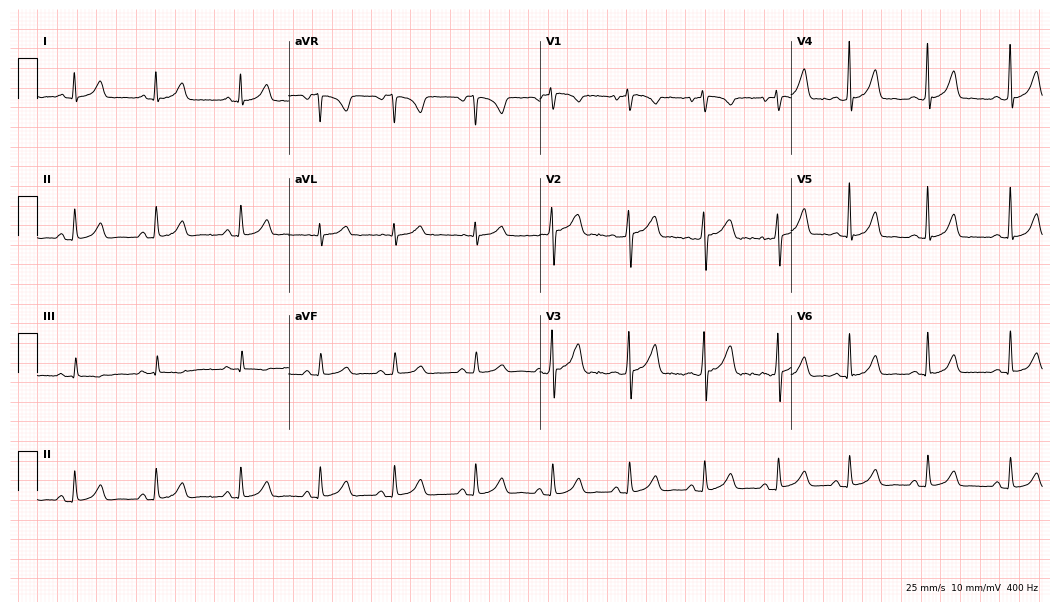
Electrocardiogram, a female patient, 40 years old. Overall reading on record: normal ECG.